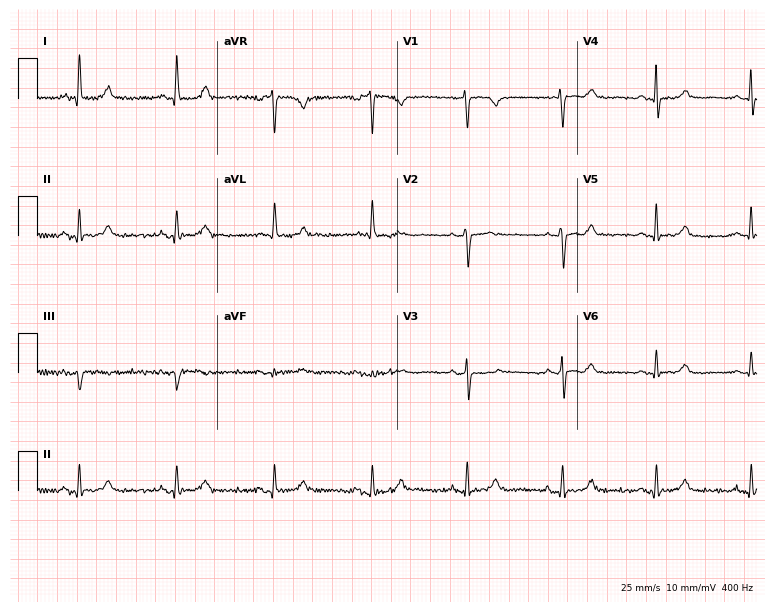
Standard 12-lead ECG recorded from a female, 77 years old (7.3-second recording at 400 Hz). Read as a normal ECG.